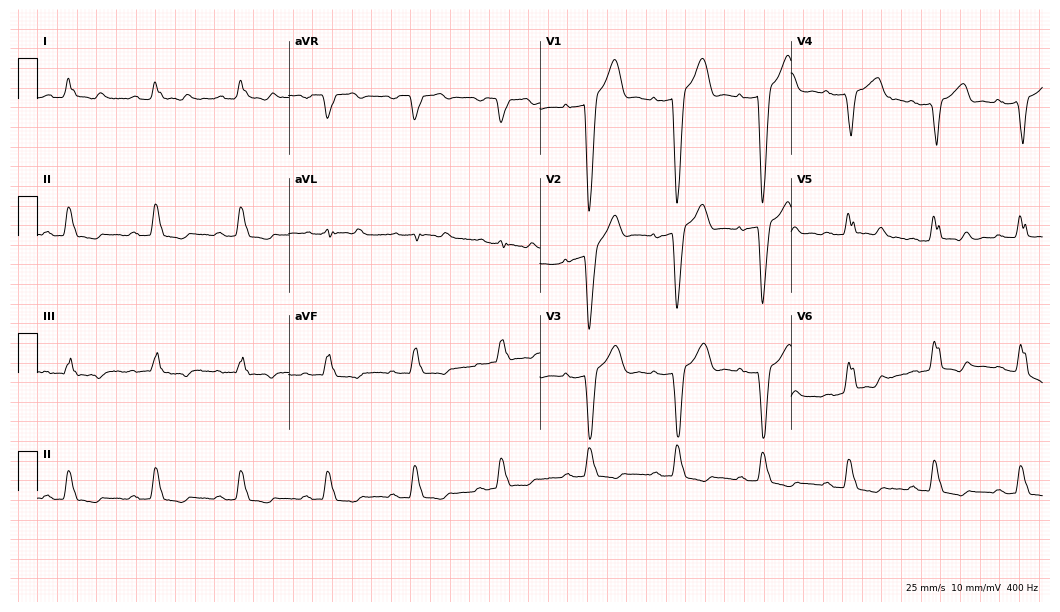
12-lead ECG from a 67-year-old male (10.2-second recording at 400 Hz). Shows first-degree AV block, left bundle branch block.